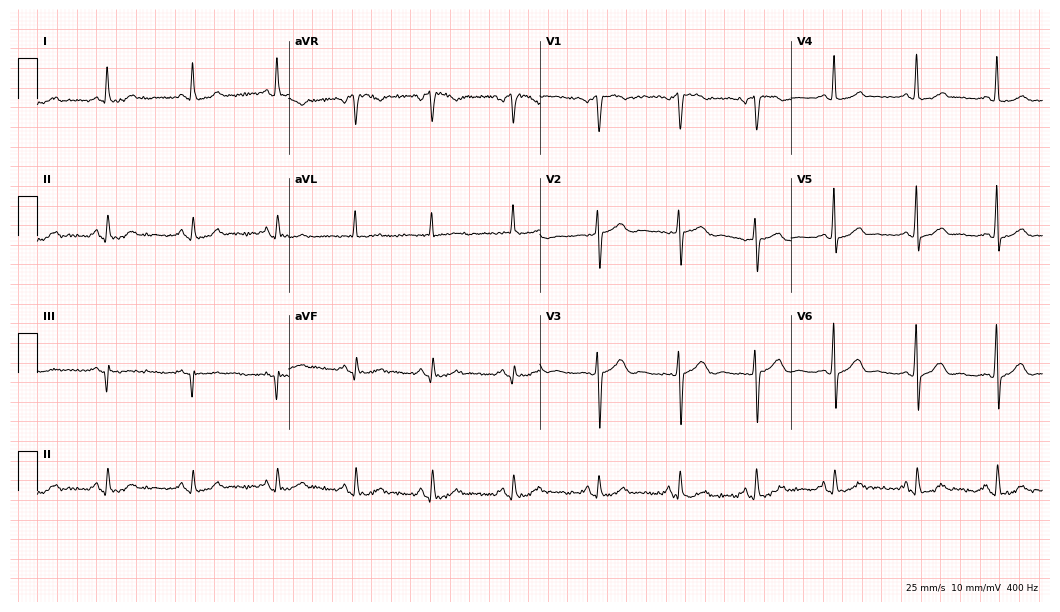
ECG (10.2-second recording at 400 Hz) — a 42-year-old female patient. Screened for six findings — first-degree AV block, right bundle branch block, left bundle branch block, sinus bradycardia, atrial fibrillation, sinus tachycardia — none is recorded.